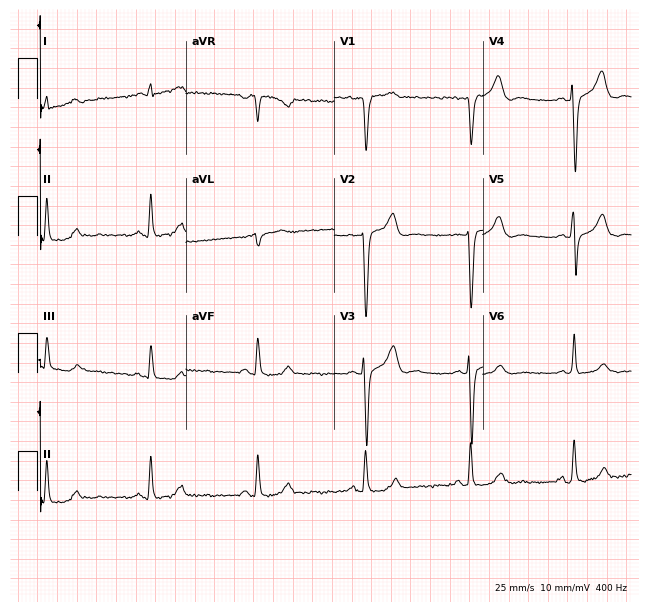
12-lead ECG from a 40-year-old man (6.1-second recording at 400 Hz). No first-degree AV block, right bundle branch block (RBBB), left bundle branch block (LBBB), sinus bradycardia, atrial fibrillation (AF) or sinus tachycardia recorded for this tracing.